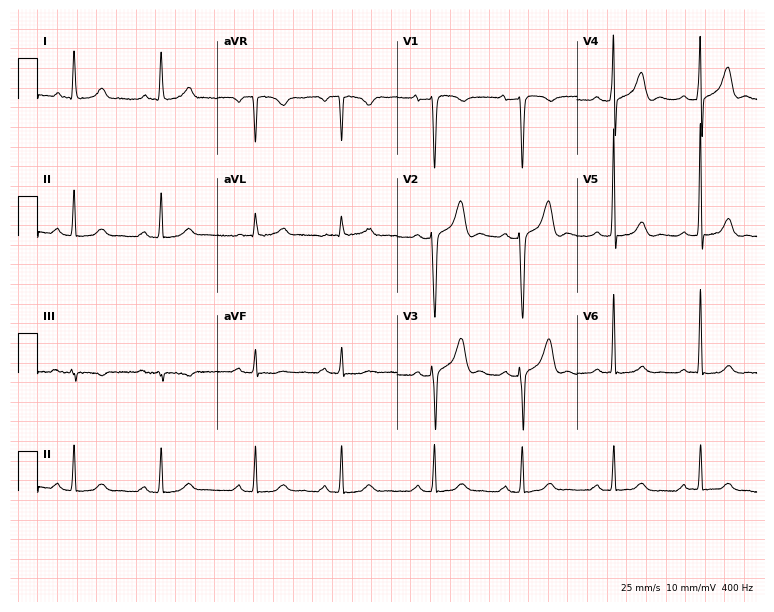
Resting 12-lead electrocardiogram. Patient: a 62-year-old man. None of these six findings is recorded: first-degree AV block, right bundle branch block (RBBB), left bundle branch block (LBBB), sinus bradycardia, atrial fibrillation (AF), sinus tachycardia.